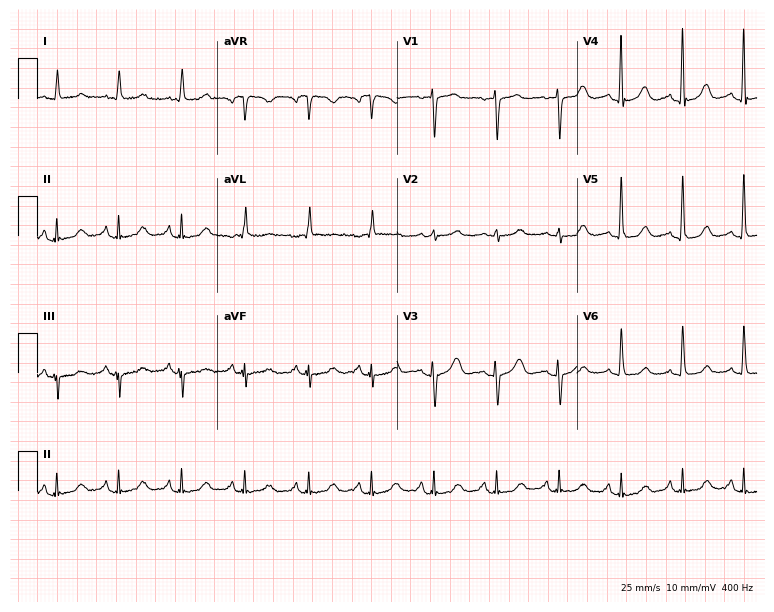
12-lead ECG (7.3-second recording at 400 Hz) from a 61-year-old woman. Labelled as a normal ECG.